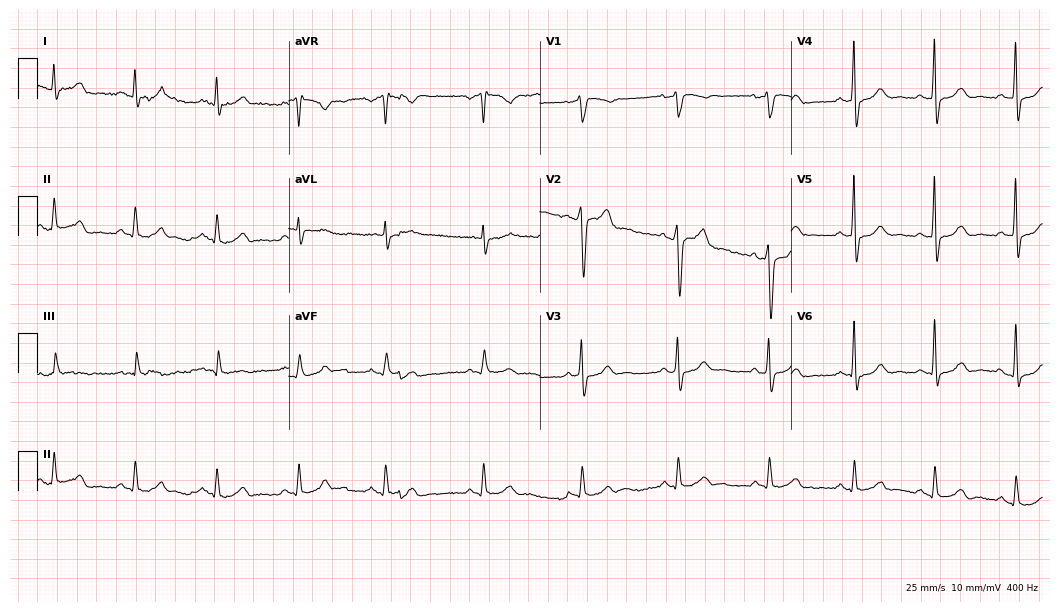
12-lead ECG (10.2-second recording at 400 Hz) from a man, 46 years old. Screened for six findings — first-degree AV block, right bundle branch block, left bundle branch block, sinus bradycardia, atrial fibrillation, sinus tachycardia — none is recorded. Findings outside these six are not listed.